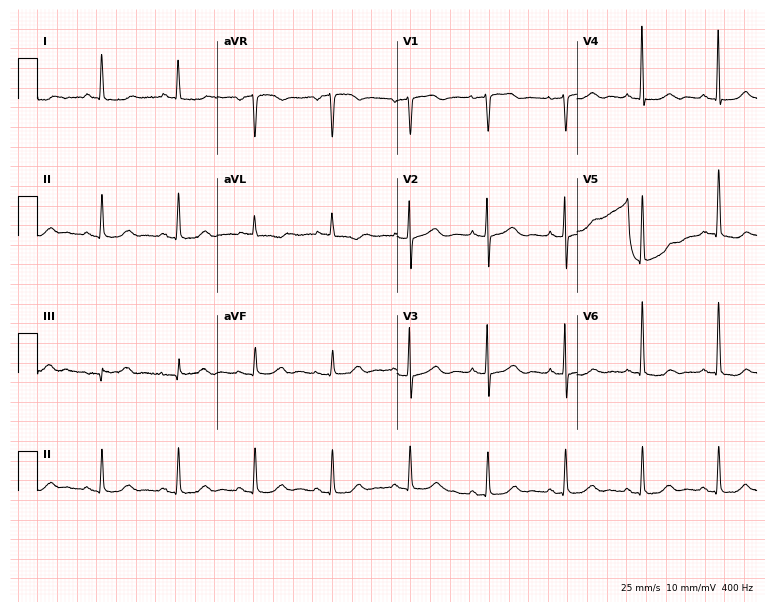
12-lead ECG from a female, 62 years old. No first-degree AV block, right bundle branch block, left bundle branch block, sinus bradycardia, atrial fibrillation or sinus tachycardia recorded for this tracing.